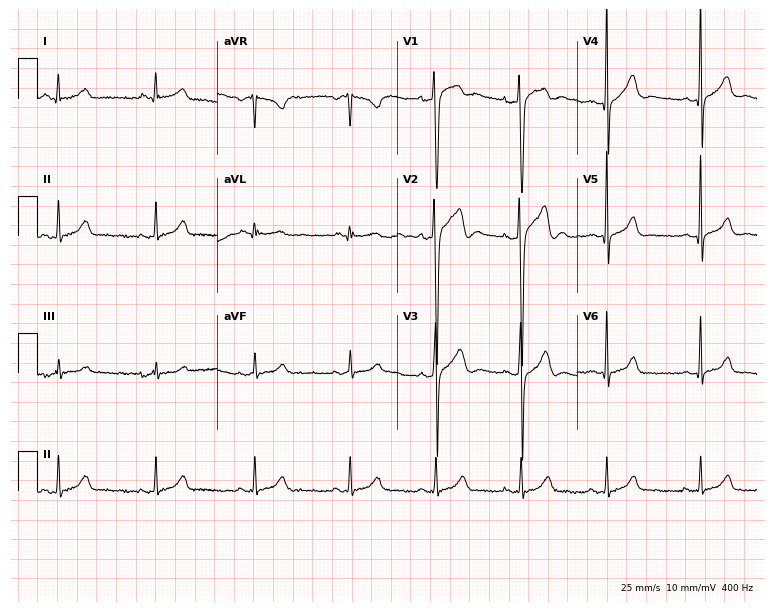
ECG — a 36-year-old male. Screened for six findings — first-degree AV block, right bundle branch block, left bundle branch block, sinus bradycardia, atrial fibrillation, sinus tachycardia — none is recorded.